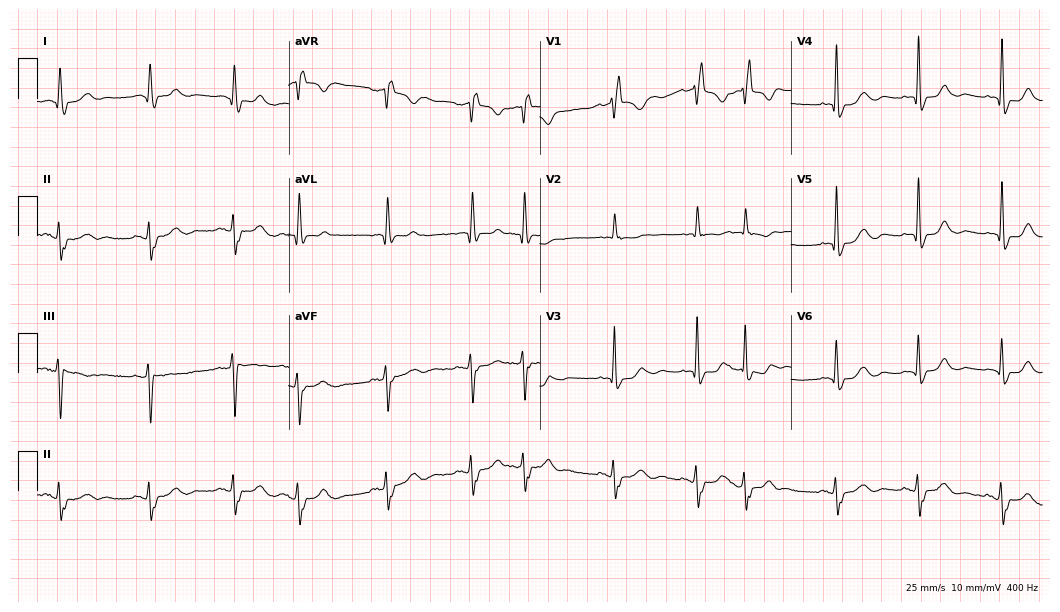
ECG (10.2-second recording at 400 Hz) — a female, 76 years old. Findings include right bundle branch block (RBBB).